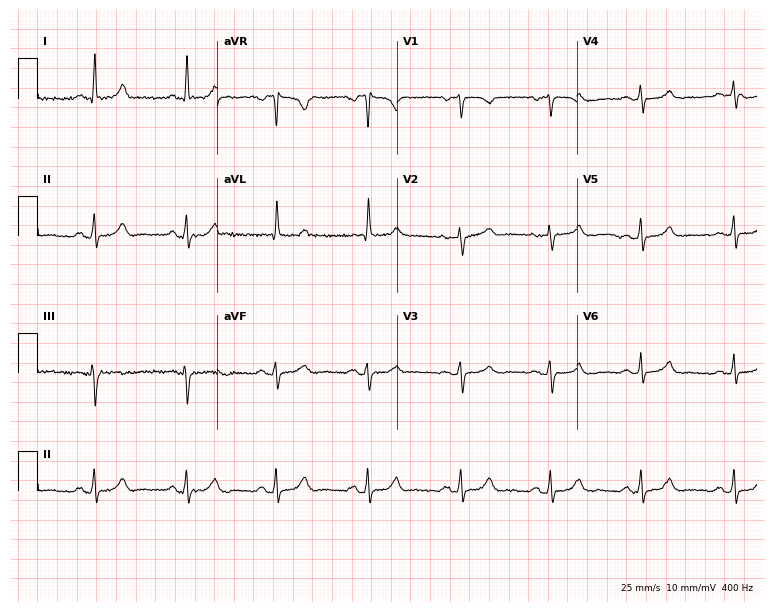
12-lead ECG from a 64-year-old female. Recorded interpretation: within normal limits.